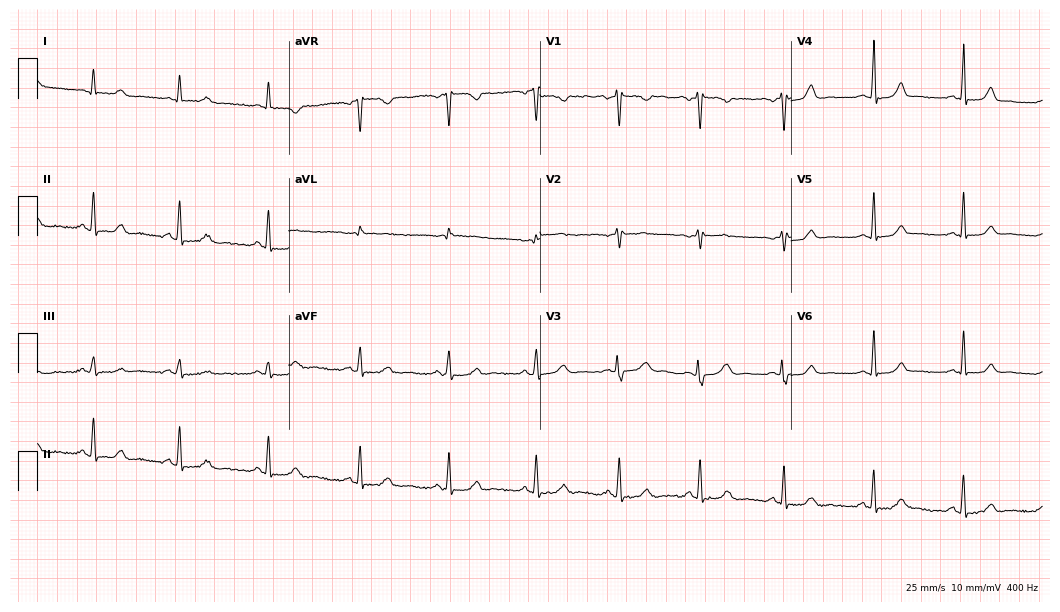
Standard 12-lead ECG recorded from a female, 35 years old (10.2-second recording at 400 Hz). None of these six findings is recorded: first-degree AV block, right bundle branch block (RBBB), left bundle branch block (LBBB), sinus bradycardia, atrial fibrillation (AF), sinus tachycardia.